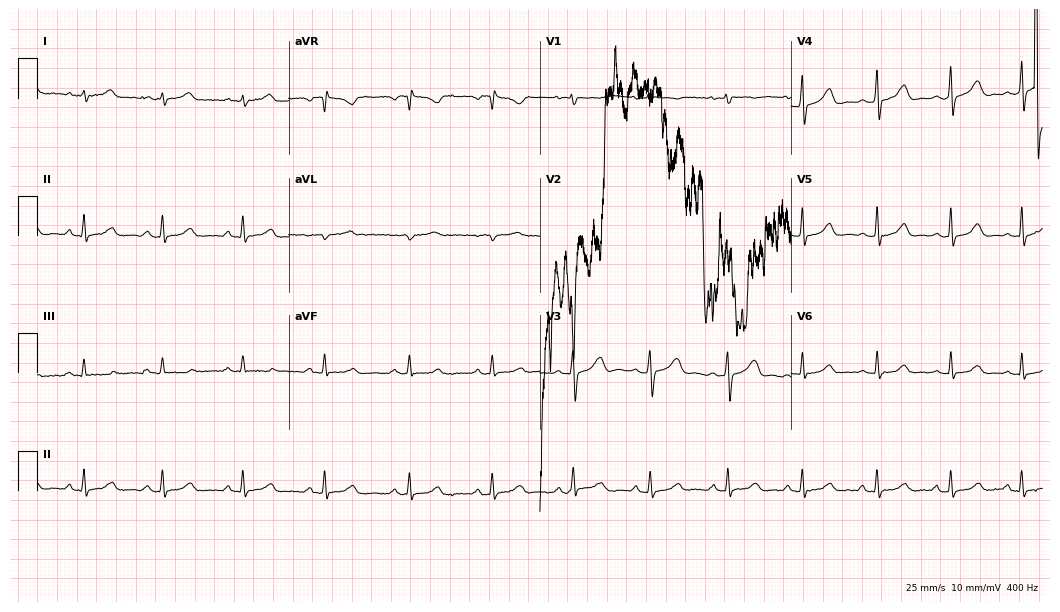
Resting 12-lead electrocardiogram. Patient: a 39-year-old female. None of these six findings is recorded: first-degree AV block, right bundle branch block (RBBB), left bundle branch block (LBBB), sinus bradycardia, atrial fibrillation (AF), sinus tachycardia.